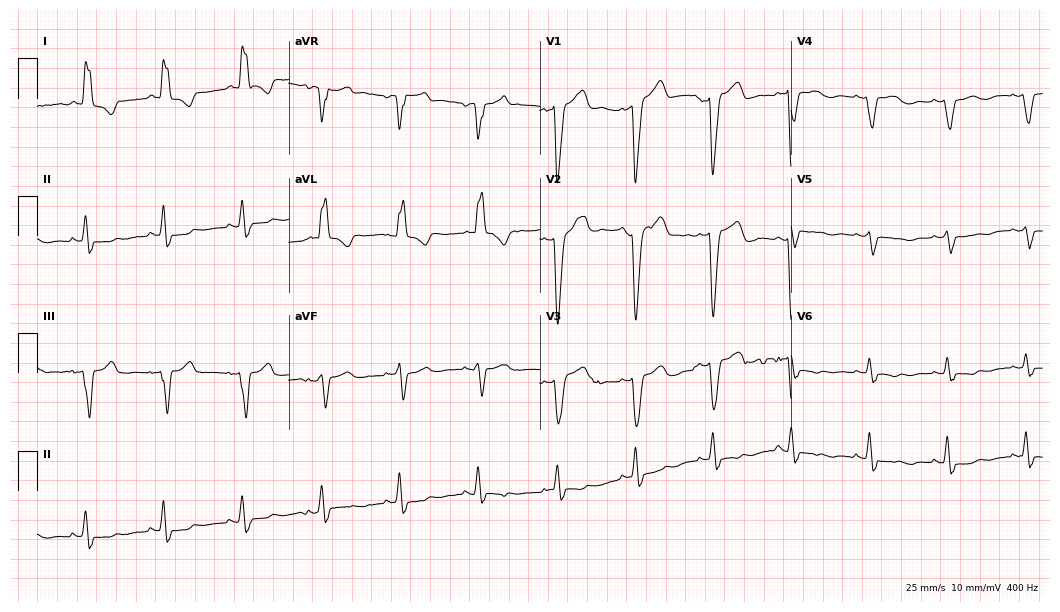
Electrocardiogram (10.2-second recording at 400 Hz), a female, 68 years old. Interpretation includes left bundle branch block.